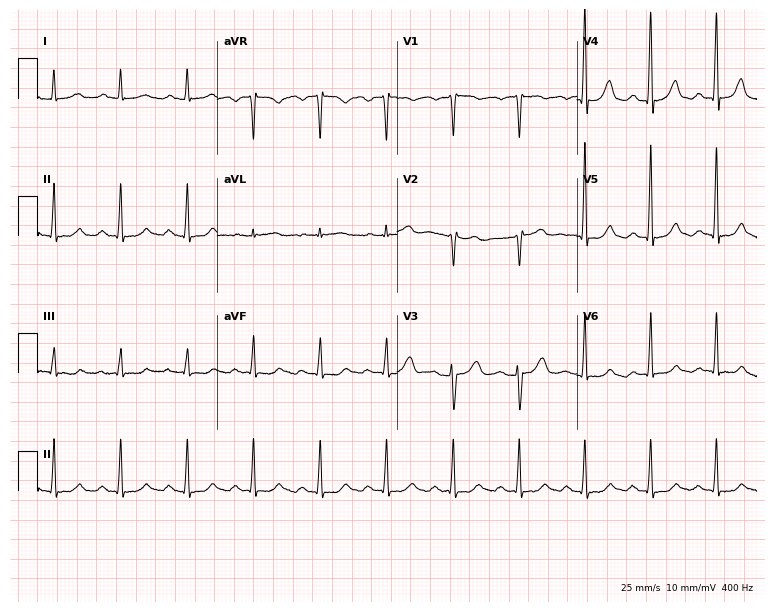
Electrocardiogram, a 72-year-old female patient. Interpretation includes first-degree AV block.